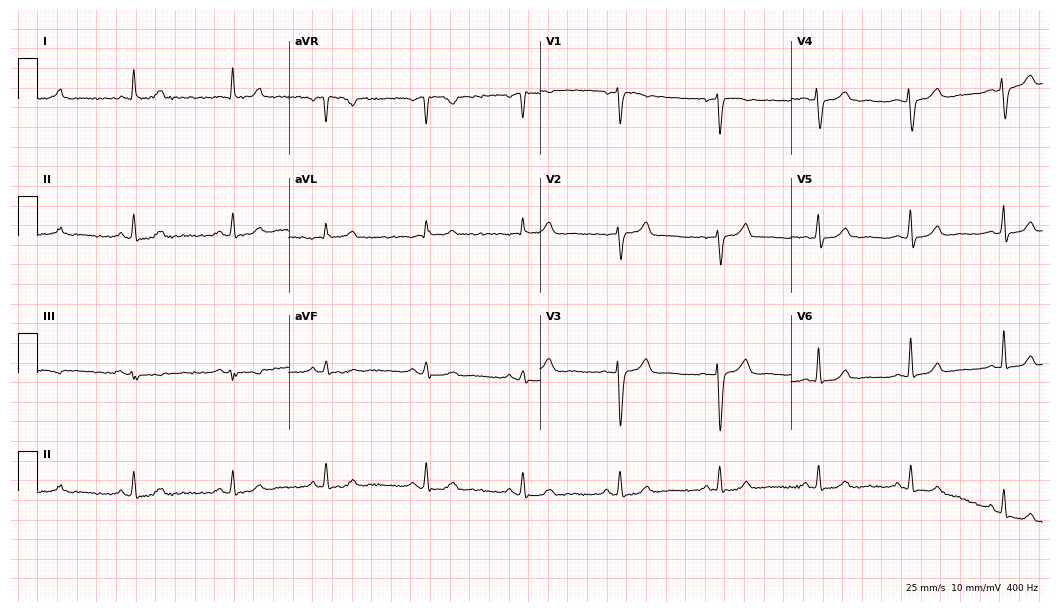
12-lead ECG from a female patient, 62 years old. Recorded interpretation: within normal limits.